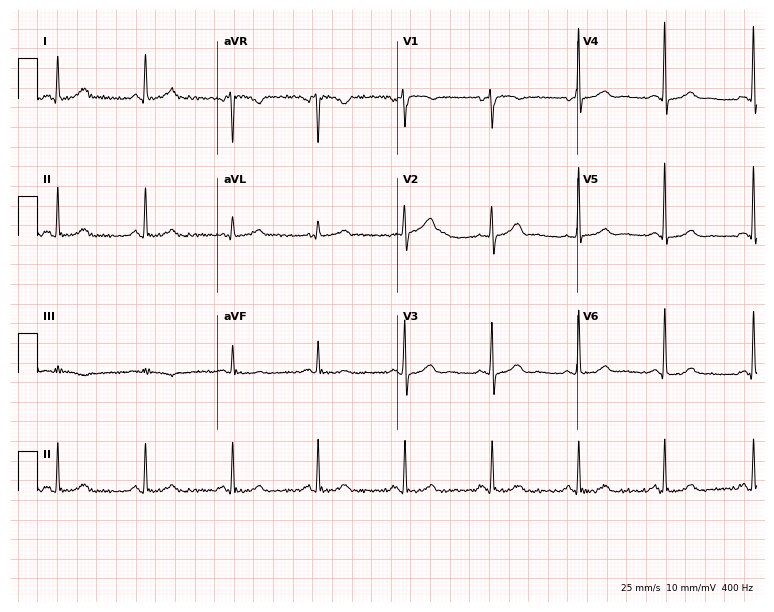
12-lead ECG (7.3-second recording at 400 Hz) from a 59-year-old female patient. Labelled as a normal ECG.